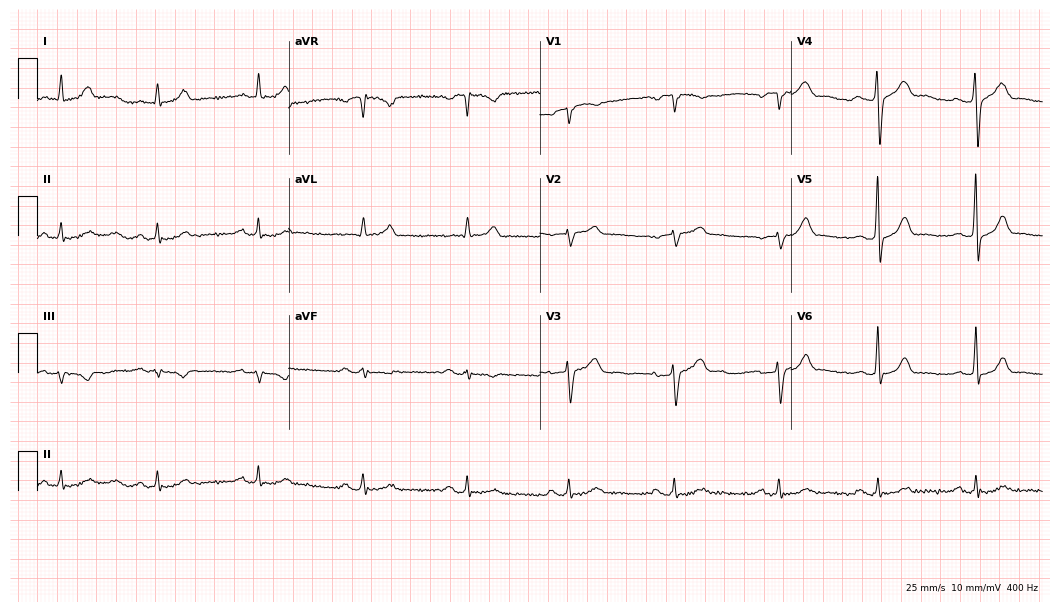
Standard 12-lead ECG recorded from a male, 58 years old (10.2-second recording at 400 Hz). Read as a normal ECG.